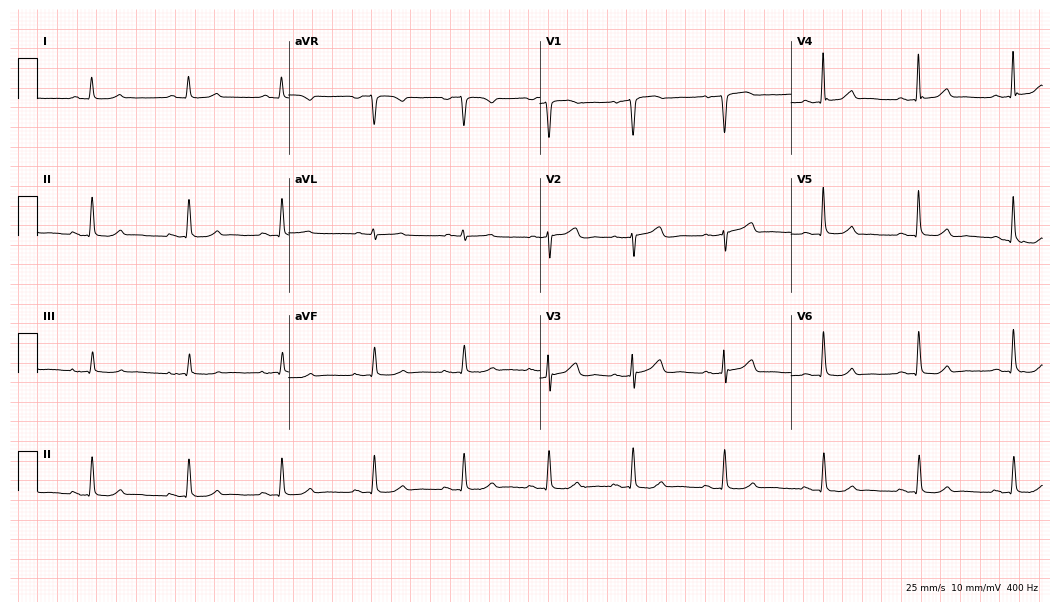
Electrocardiogram (10.2-second recording at 400 Hz), a 65-year-old female patient. Overall reading on record: normal ECG.